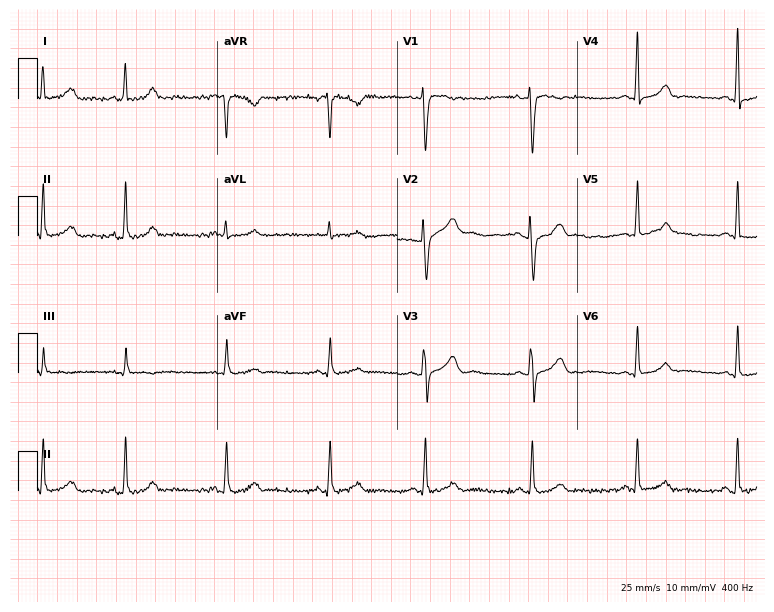
Resting 12-lead electrocardiogram. Patient: a female, 39 years old. Read as a normal ECG.